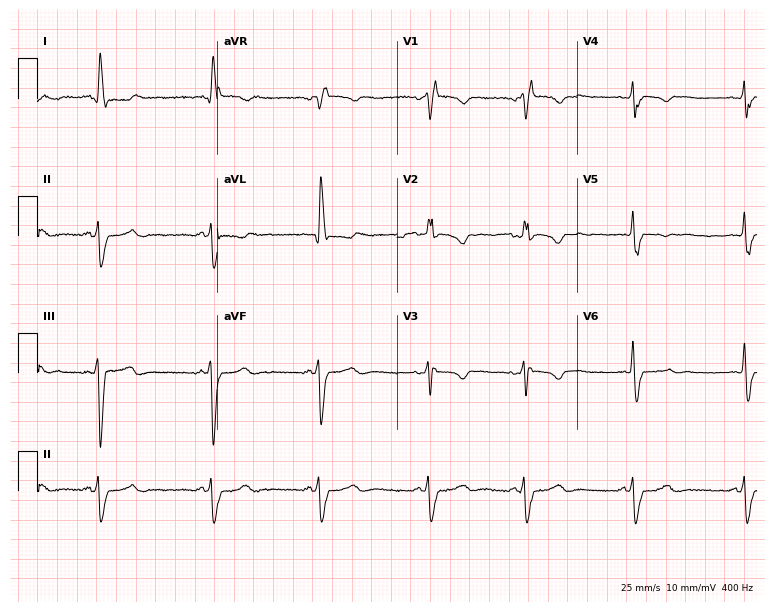
Resting 12-lead electrocardiogram. Patient: a female, 53 years old. The tracing shows right bundle branch block.